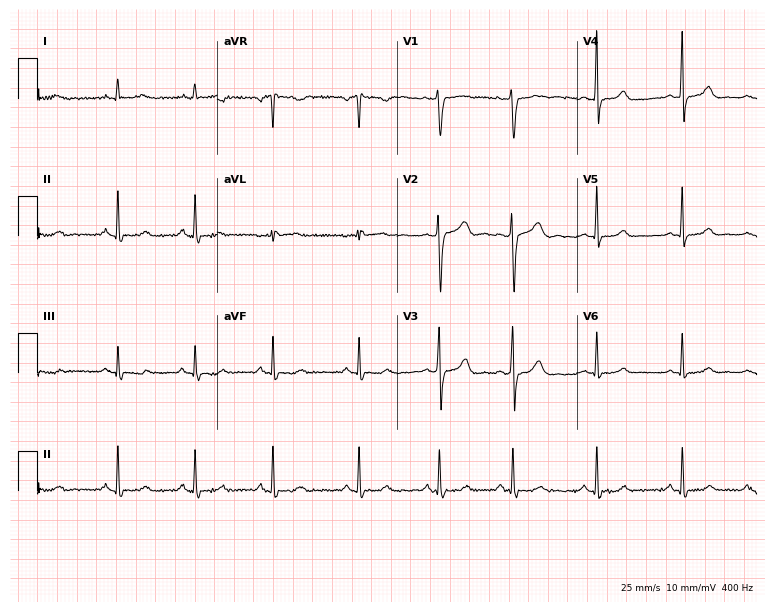
Standard 12-lead ECG recorded from a 22-year-old female (7.3-second recording at 400 Hz). None of these six findings is recorded: first-degree AV block, right bundle branch block (RBBB), left bundle branch block (LBBB), sinus bradycardia, atrial fibrillation (AF), sinus tachycardia.